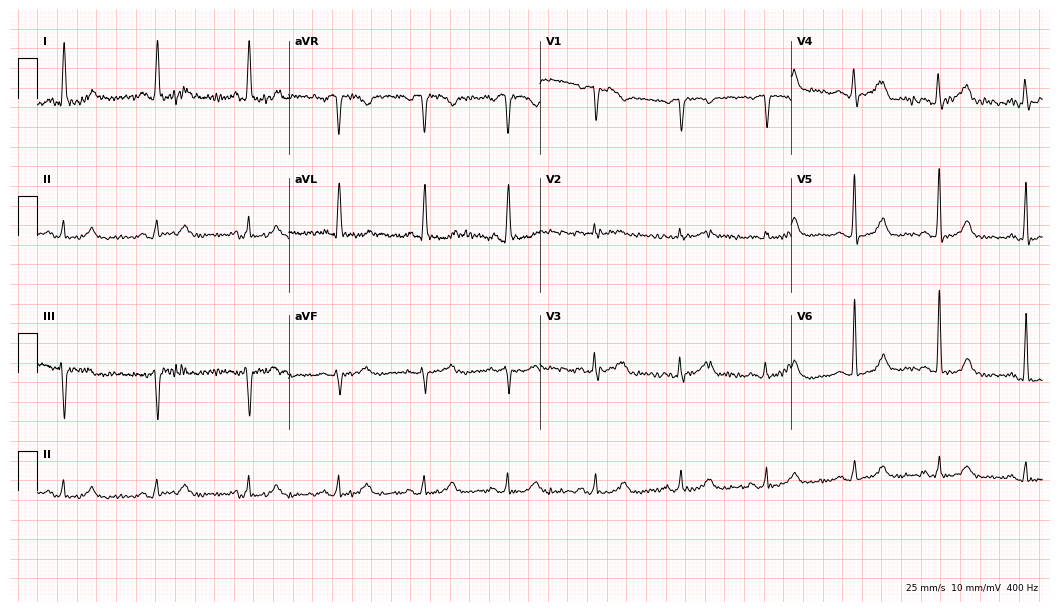
ECG — a 70-year-old female. Labelled as a normal ECG.